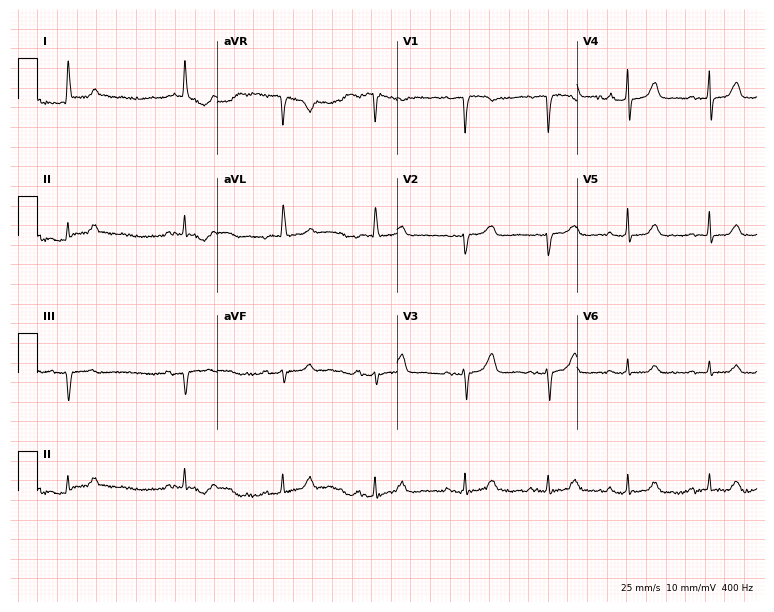
Resting 12-lead electrocardiogram. Patient: a 77-year-old female. None of these six findings is recorded: first-degree AV block, right bundle branch block, left bundle branch block, sinus bradycardia, atrial fibrillation, sinus tachycardia.